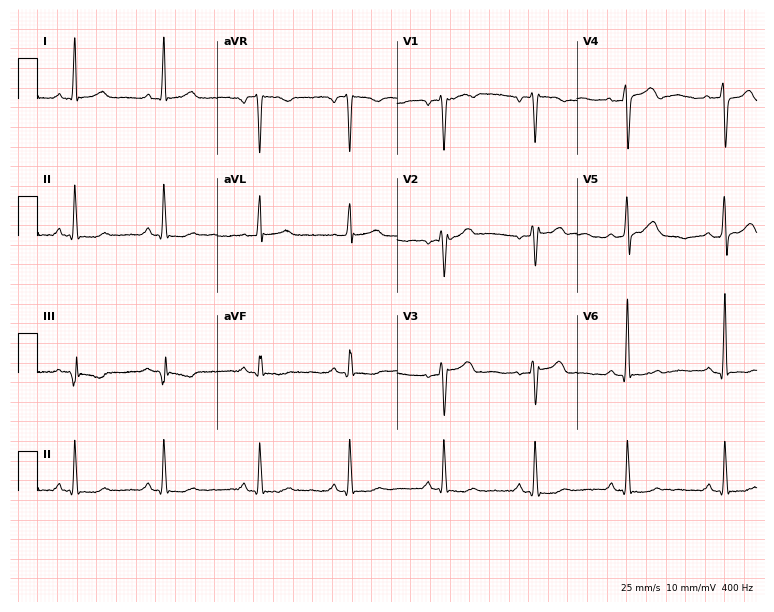
ECG (7.3-second recording at 400 Hz) — a female patient, 51 years old. Labelled as a normal ECG.